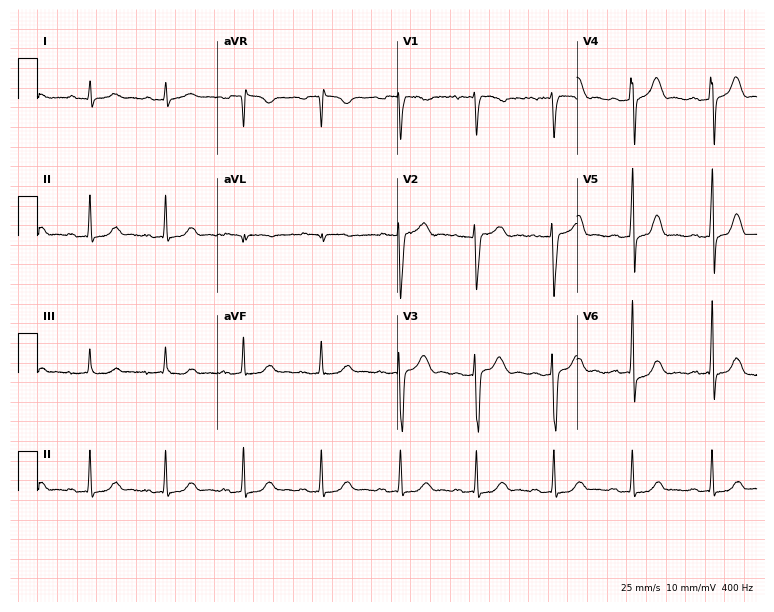
12-lead ECG from a woman, 31 years old. Shows first-degree AV block.